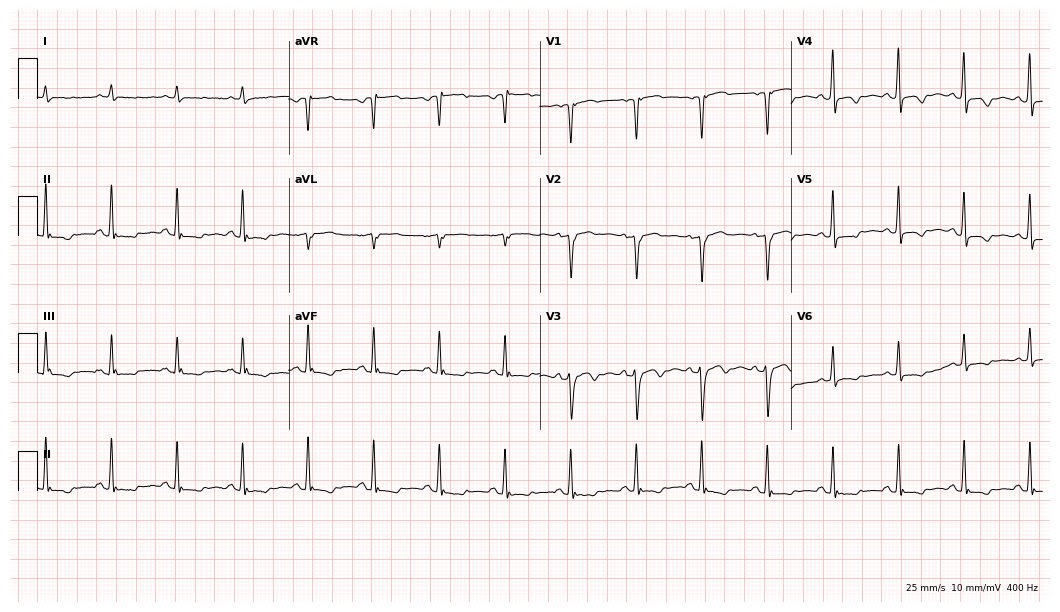
Resting 12-lead electrocardiogram (10.2-second recording at 400 Hz). Patient: a 55-year-old male. None of these six findings is recorded: first-degree AV block, right bundle branch block (RBBB), left bundle branch block (LBBB), sinus bradycardia, atrial fibrillation (AF), sinus tachycardia.